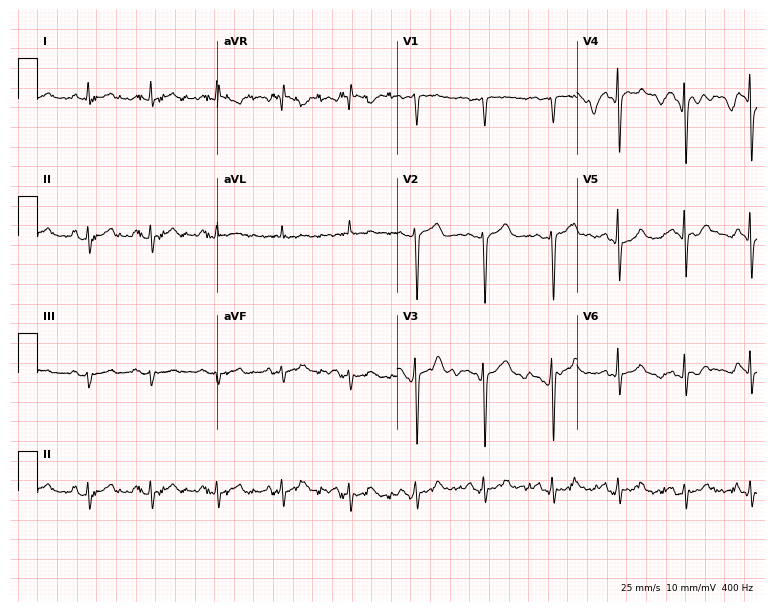
12-lead ECG from a 64-year-old male. No first-degree AV block, right bundle branch block, left bundle branch block, sinus bradycardia, atrial fibrillation or sinus tachycardia recorded for this tracing.